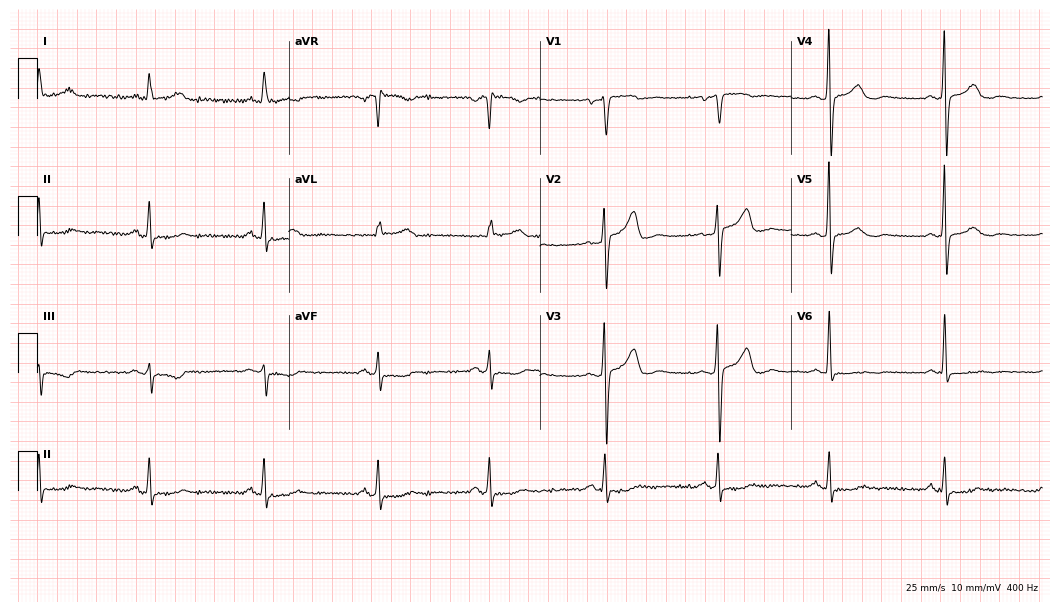
ECG (10.2-second recording at 400 Hz) — a female patient, 66 years old. Screened for six findings — first-degree AV block, right bundle branch block (RBBB), left bundle branch block (LBBB), sinus bradycardia, atrial fibrillation (AF), sinus tachycardia — none is recorded.